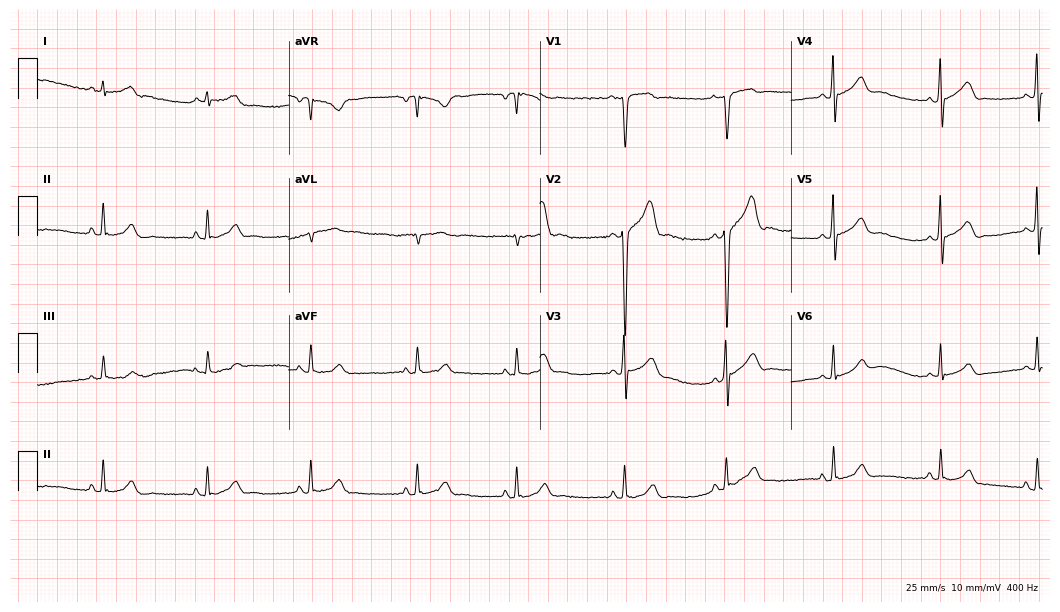
ECG — a man, 25 years old. Labelled as a normal ECG.